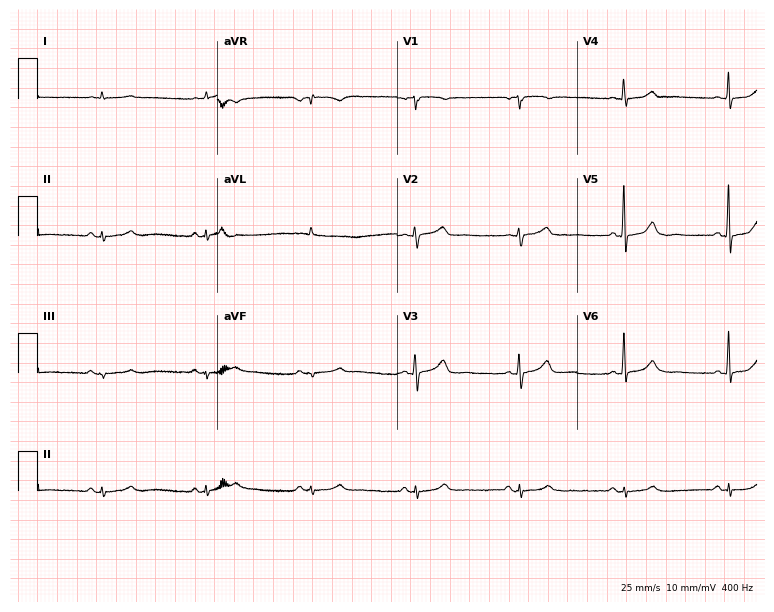
Resting 12-lead electrocardiogram (7.3-second recording at 400 Hz). Patient: a male, 79 years old. None of these six findings is recorded: first-degree AV block, right bundle branch block, left bundle branch block, sinus bradycardia, atrial fibrillation, sinus tachycardia. Only these six findings were labelled.